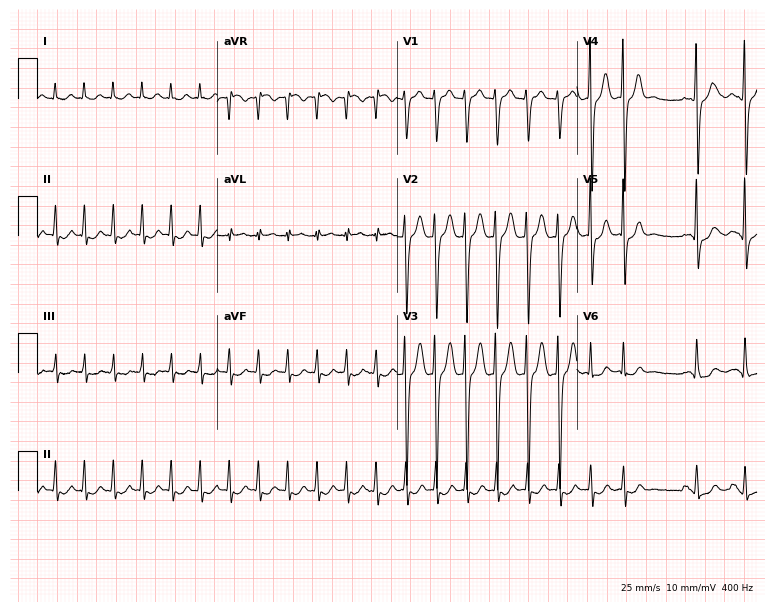
ECG — a 43-year-old male patient. Findings include sinus tachycardia (a sinus rate of 100 beats per minute or more).